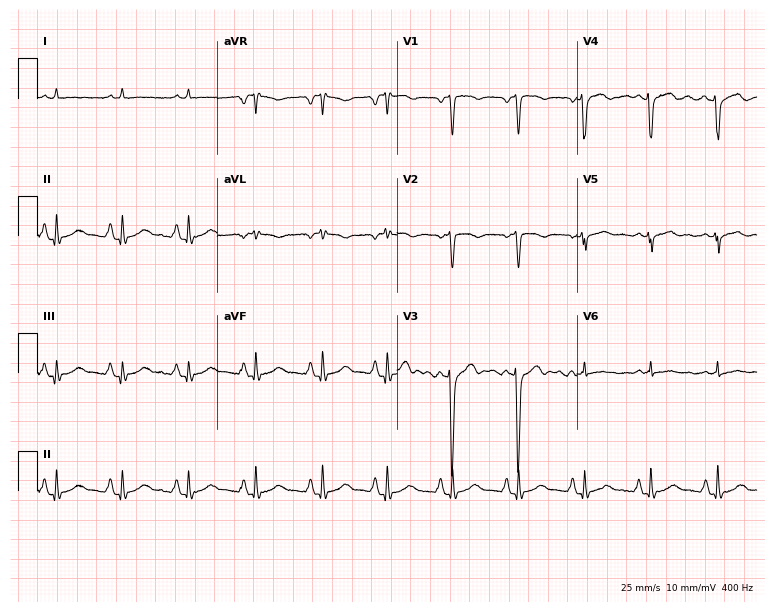
Resting 12-lead electrocardiogram (7.3-second recording at 400 Hz). Patient: a male, 73 years old. None of these six findings is recorded: first-degree AV block, right bundle branch block, left bundle branch block, sinus bradycardia, atrial fibrillation, sinus tachycardia. Other findings, if any, are not listed.